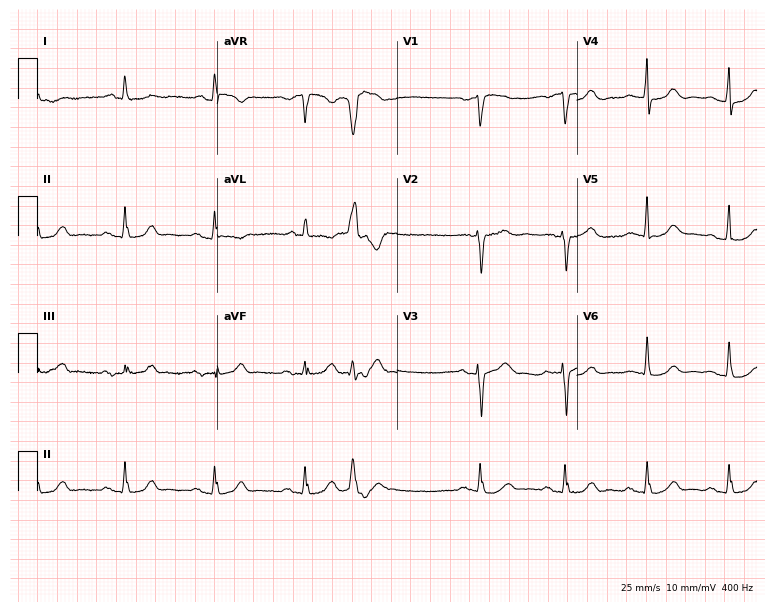
Electrocardiogram, a female patient, 72 years old. Of the six screened findings (first-degree AV block, right bundle branch block, left bundle branch block, sinus bradycardia, atrial fibrillation, sinus tachycardia), none is recorded.